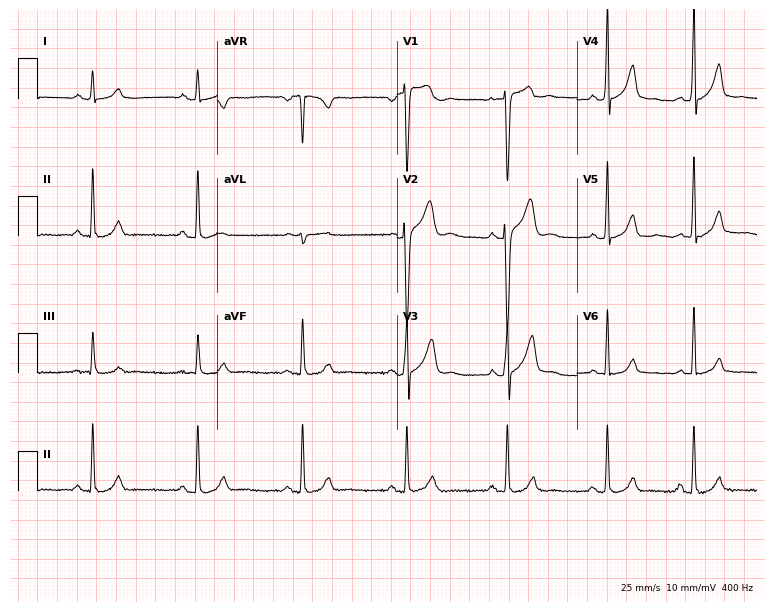
Electrocardiogram, a male, 25 years old. Of the six screened findings (first-degree AV block, right bundle branch block, left bundle branch block, sinus bradycardia, atrial fibrillation, sinus tachycardia), none is recorded. Other findings, if any, are not listed.